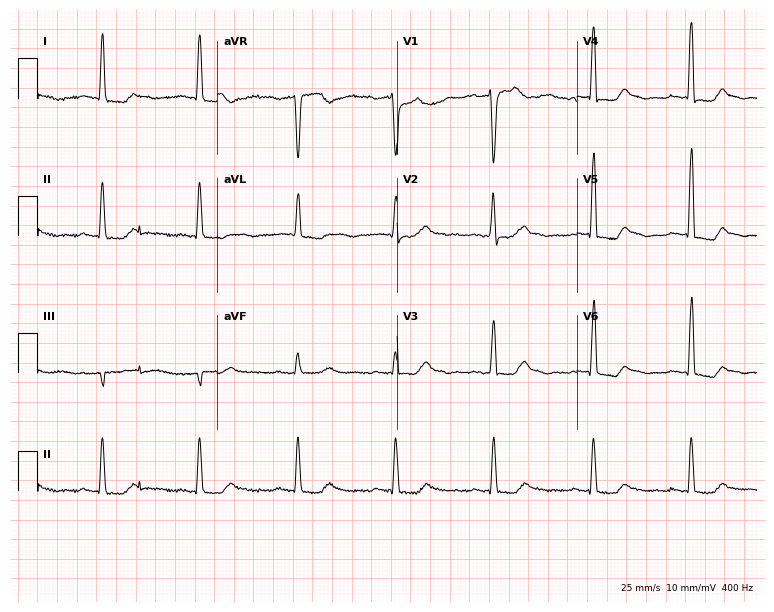
12-lead ECG from a 79-year-old woman. Recorded interpretation: within normal limits.